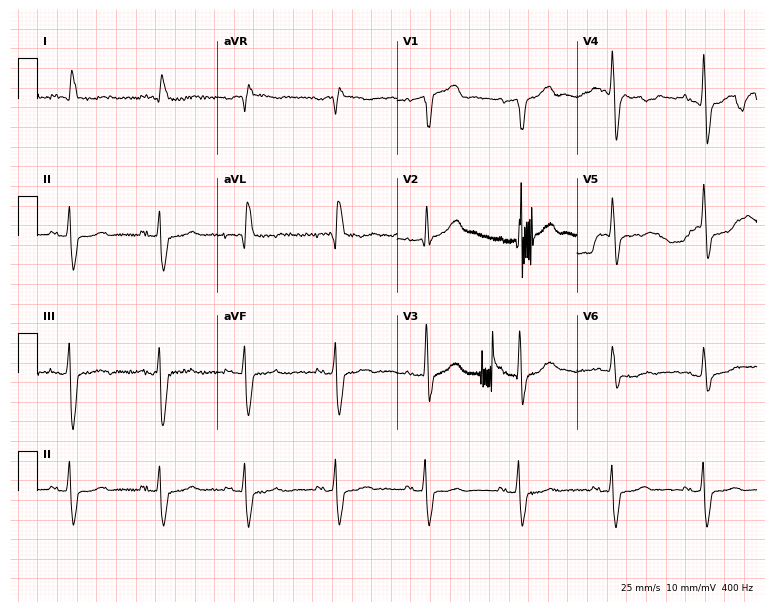
ECG — a male patient, 84 years old. Screened for six findings — first-degree AV block, right bundle branch block (RBBB), left bundle branch block (LBBB), sinus bradycardia, atrial fibrillation (AF), sinus tachycardia — none is recorded. Only these six findings were labelled.